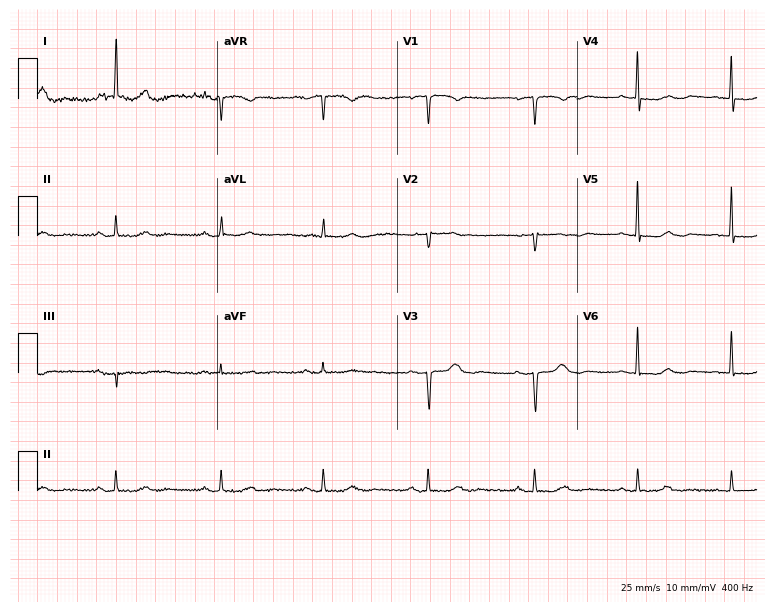
Electrocardiogram, a female, 83 years old. Of the six screened findings (first-degree AV block, right bundle branch block, left bundle branch block, sinus bradycardia, atrial fibrillation, sinus tachycardia), none is recorded.